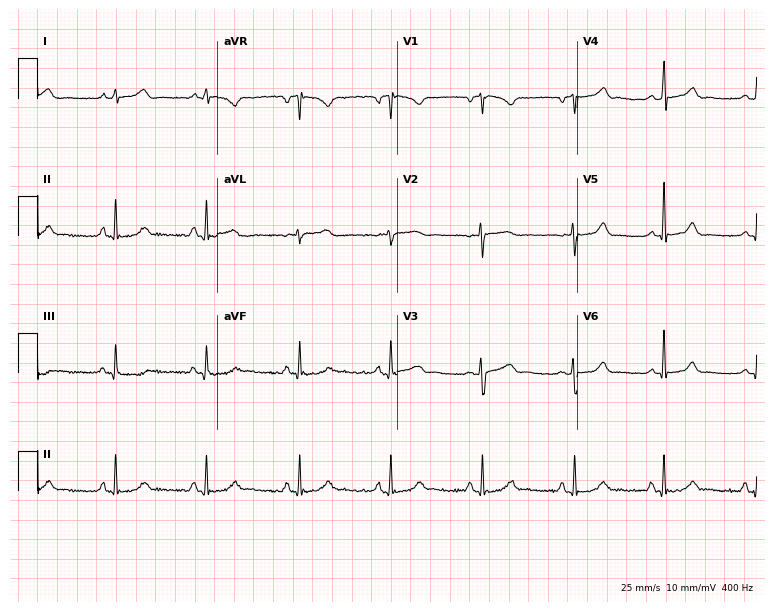
Resting 12-lead electrocardiogram (7.3-second recording at 400 Hz). Patient: a 30-year-old female. Read as a normal ECG.